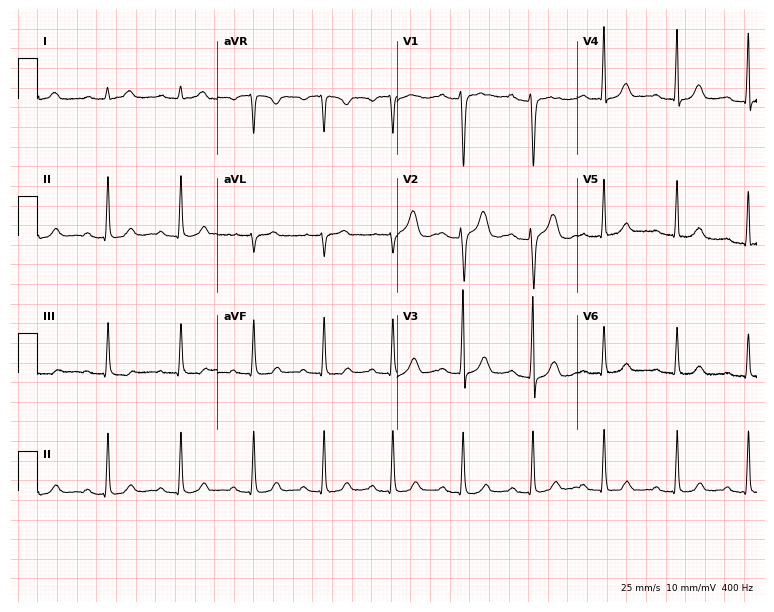
12-lead ECG from a 28-year-old woman. No first-degree AV block, right bundle branch block (RBBB), left bundle branch block (LBBB), sinus bradycardia, atrial fibrillation (AF) or sinus tachycardia recorded for this tracing. Only these six findings were labelled.